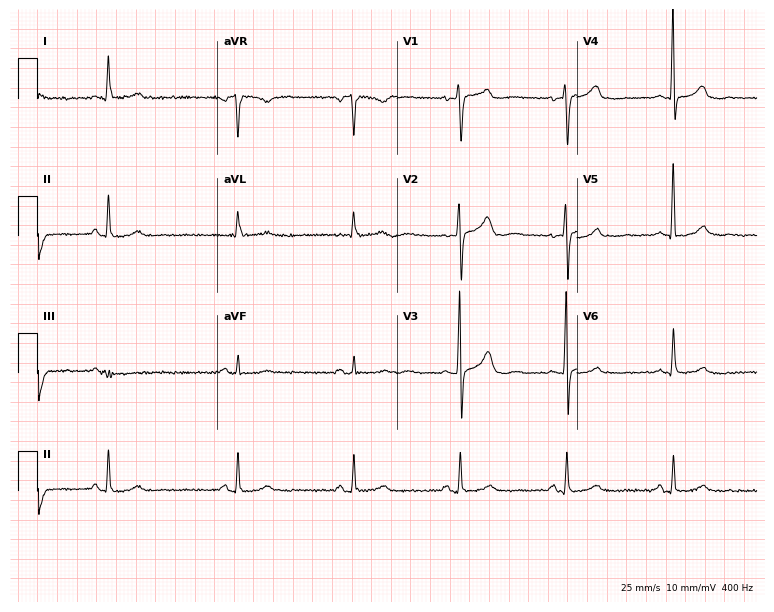
12-lead ECG from a male patient, 77 years old. No first-degree AV block, right bundle branch block, left bundle branch block, sinus bradycardia, atrial fibrillation or sinus tachycardia recorded for this tracing.